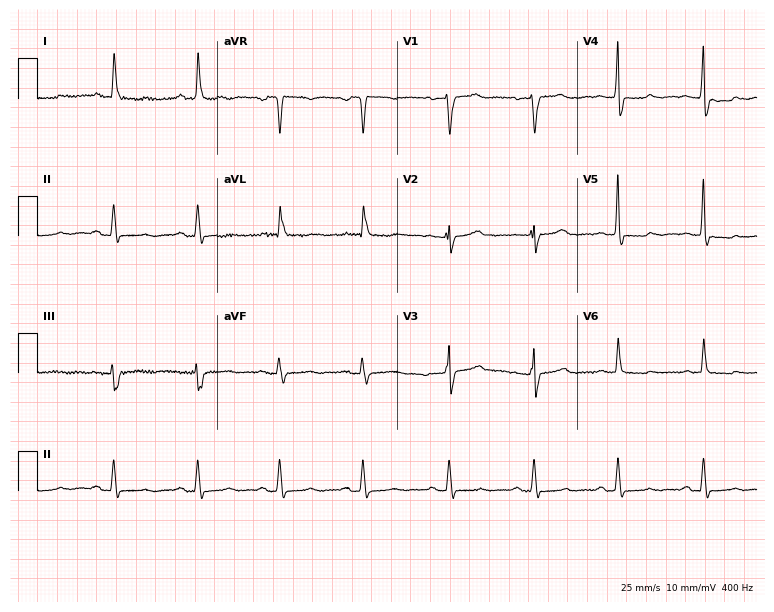
12-lead ECG from a woman, 65 years old (7.3-second recording at 400 Hz). No first-degree AV block, right bundle branch block (RBBB), left bundle branch block (LBBB), sinus bradycardia, atrial fibrillation (AF) or sinus tachycardia recorded for this tracing.